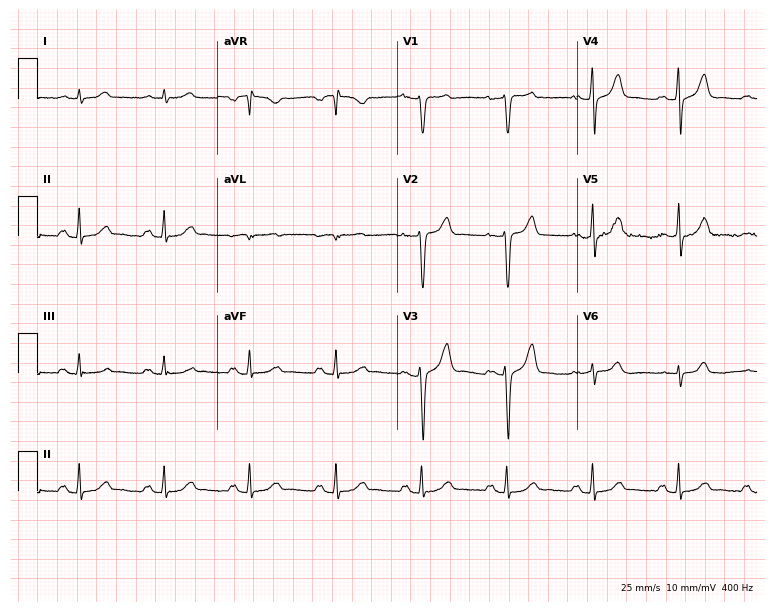
12-lead ECG from a male patient, 60 years old. Screened for six findings — first-degree AV block, right bundle branch block, left bundle branch block, sinus bradycardia, atrial fibrillation, sinus tachycardia — none is recorded.